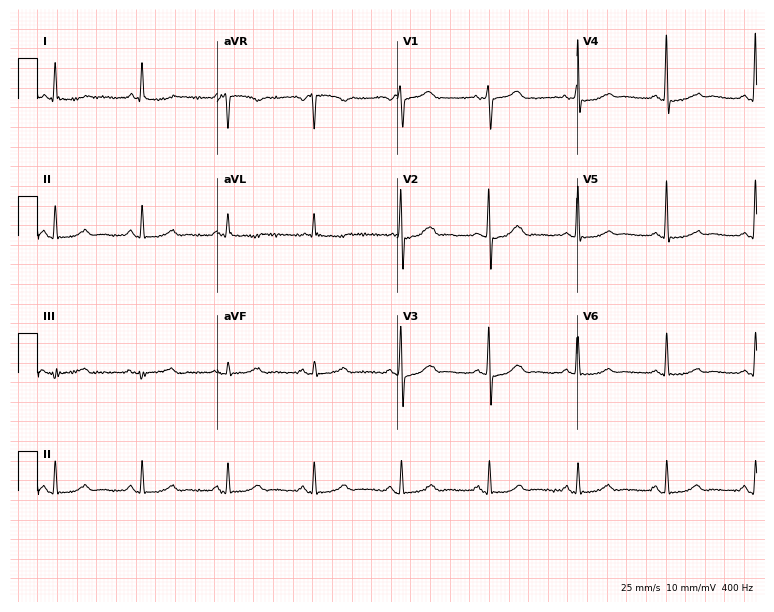
Standard 12-lead ECG recorded from a woman, 76 years old. Read as a normal ECG.